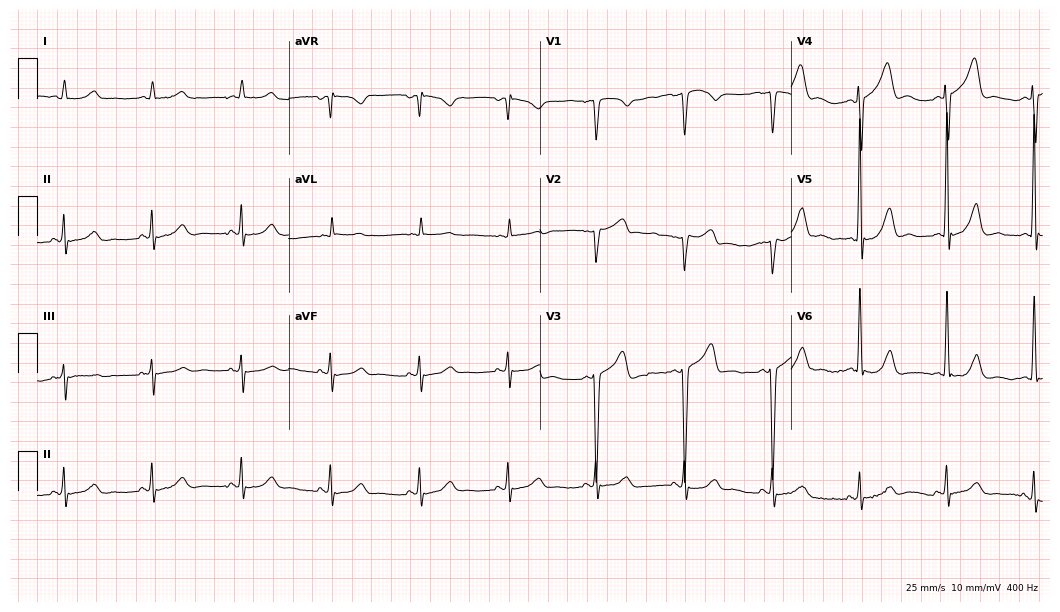
Resting 12-lead electrocardiogram (10.2-second recording at 400 Hz). Patient: a man, 69 years old. Read as a normal ECG.